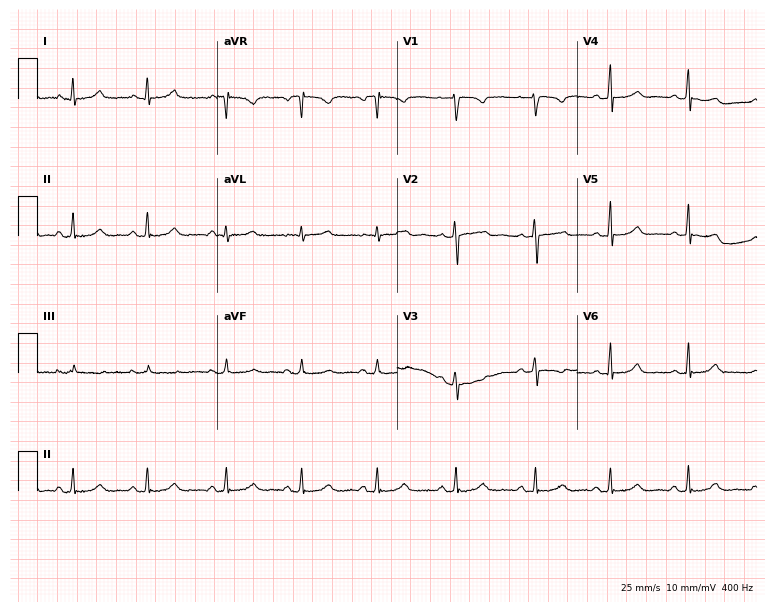
Electrocardiogram, a woman, 27 years old. Overall reading on record: normal ECG.